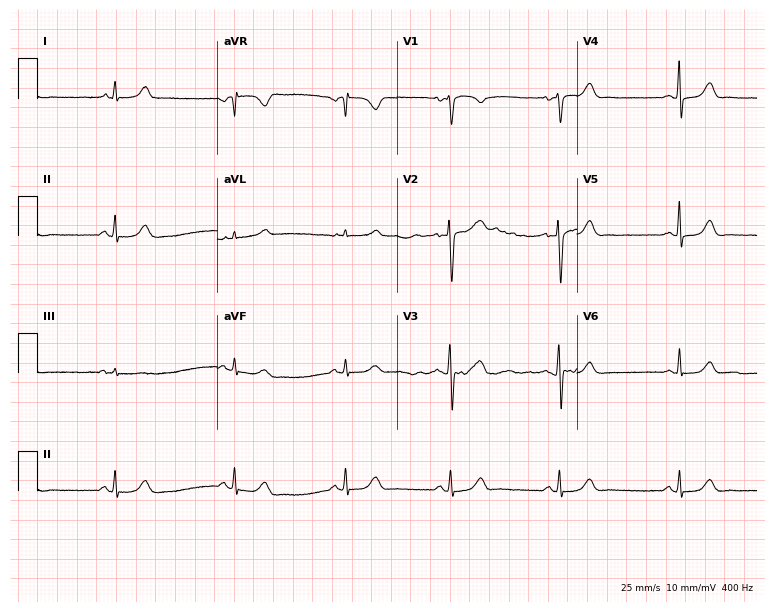
Standard 12-lead ECG recorded from a 43-year-old female. None of these six findings is recorded: first-degree AV block, right bundle branch block (RBBB), left bundle branch block (LBBB), sinus bradycardia, atrial fibrillation (AF), sinus tachycardia.